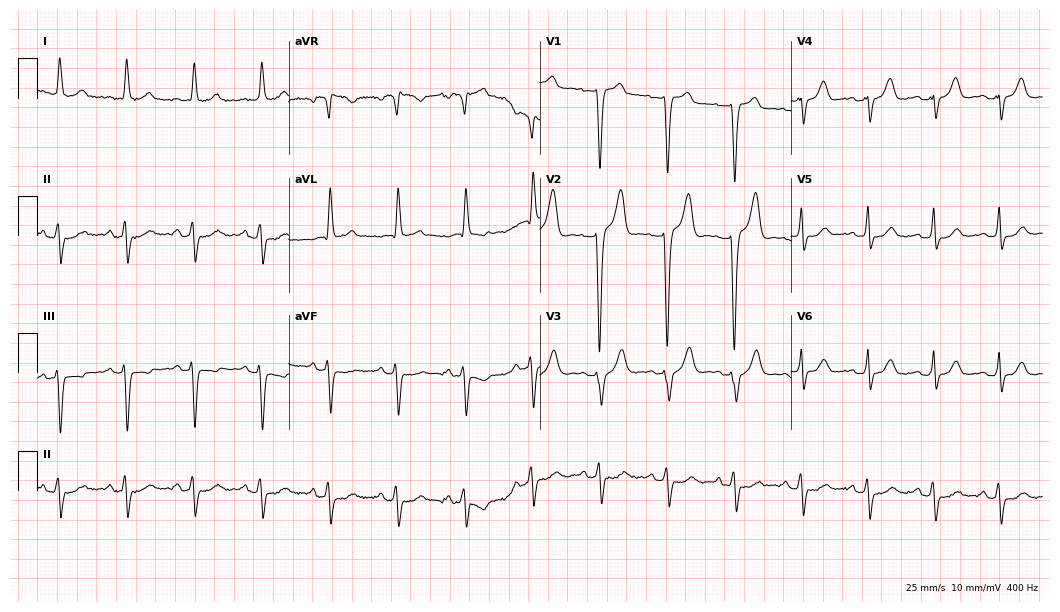
Standard 12-lead ECG recorded from a woman, 80 years old. None of these six findings is recorded: first-degree AV block, right bundle branch block (RBBB), left bundle branch block (LBBB), sinus bradycardia, atrial fibrillation (AF), sinus tachycardia.